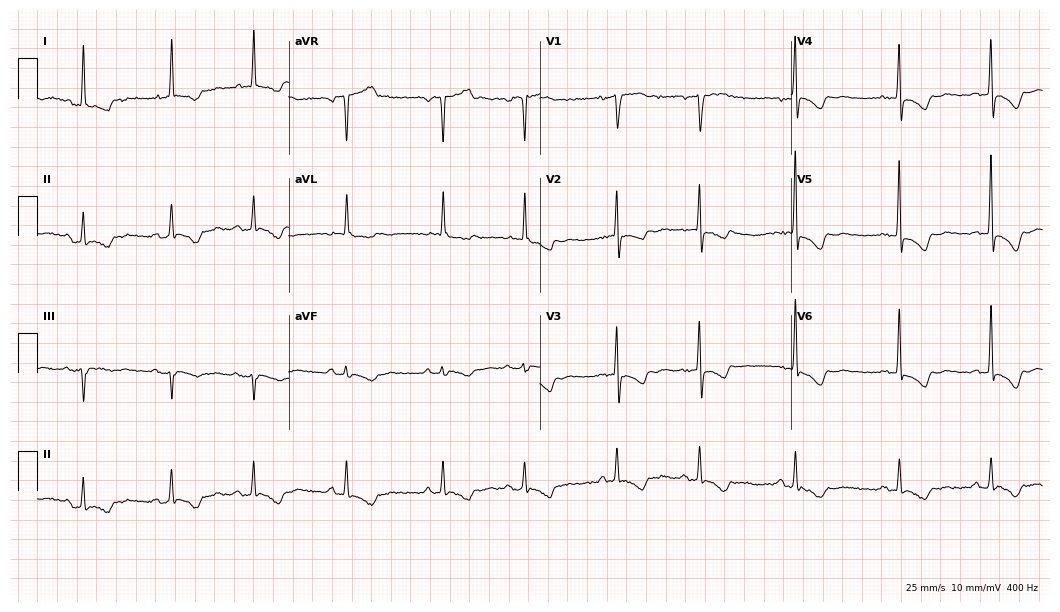
Resting 12-lead electrocardiogram. Patient: a female, 77 years old. None of these six findings is recorded: first-degree AV block, right bundle branch block, left bundle branch block, sinus bradycardia, atrial fibrillation, sinus tachycardia. Other findings, if any, are not listed.